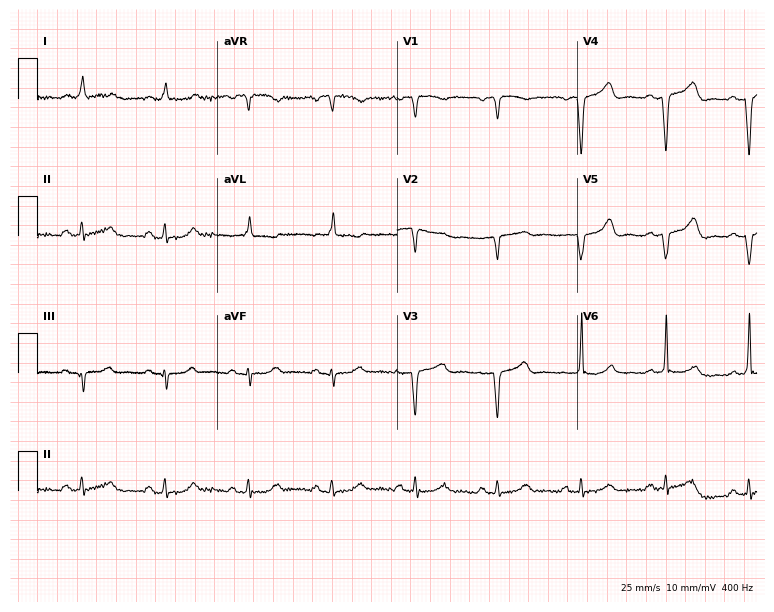
ECG — an 85-year-old woman. Screened for six findings — first-degree AV block, right bundle branch block (RBBB), left bundle branch block (LBBB), sinus bradycardia, atrial fibrillation (AF), sinus tachycardia — none is recorded. Other findings, if any, are not listed.